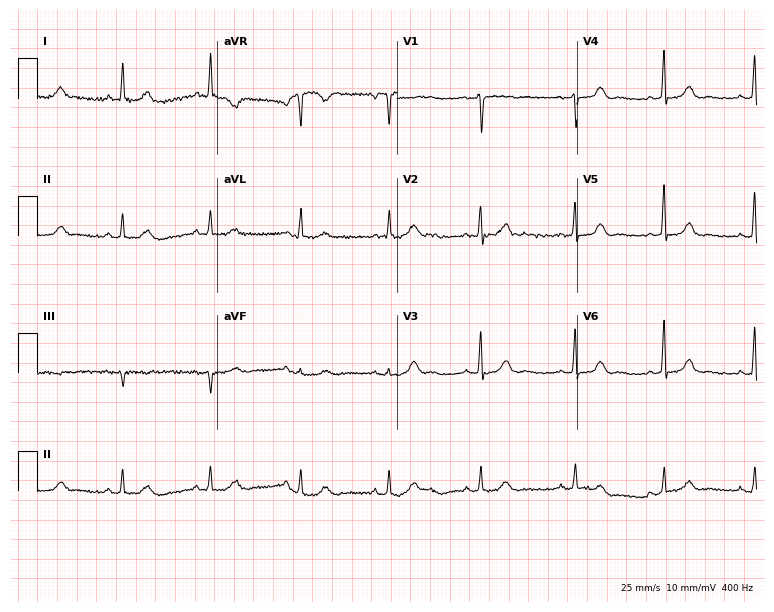
Standard 12-lead ECG recorded from a female, 52 years old (7.3-second recording at 400 Hz). None of these six findings is recorded: first-degree AV block, right bundle branch block, left bundle branch block, sinus bradycardia, atrial fibrillation, sinus tachycardia.